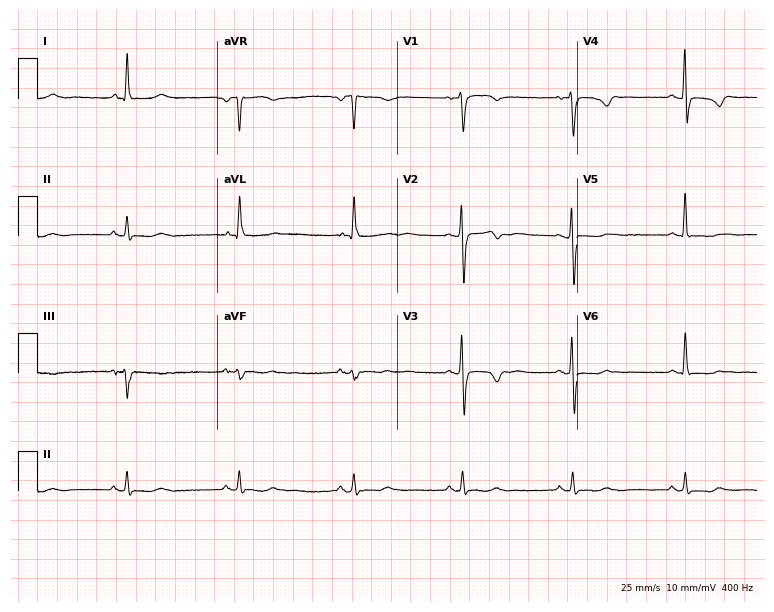
ECG (7.3-second recording at 400 Hz) — a 69-year-old woman. Labelled as a normal ECG.